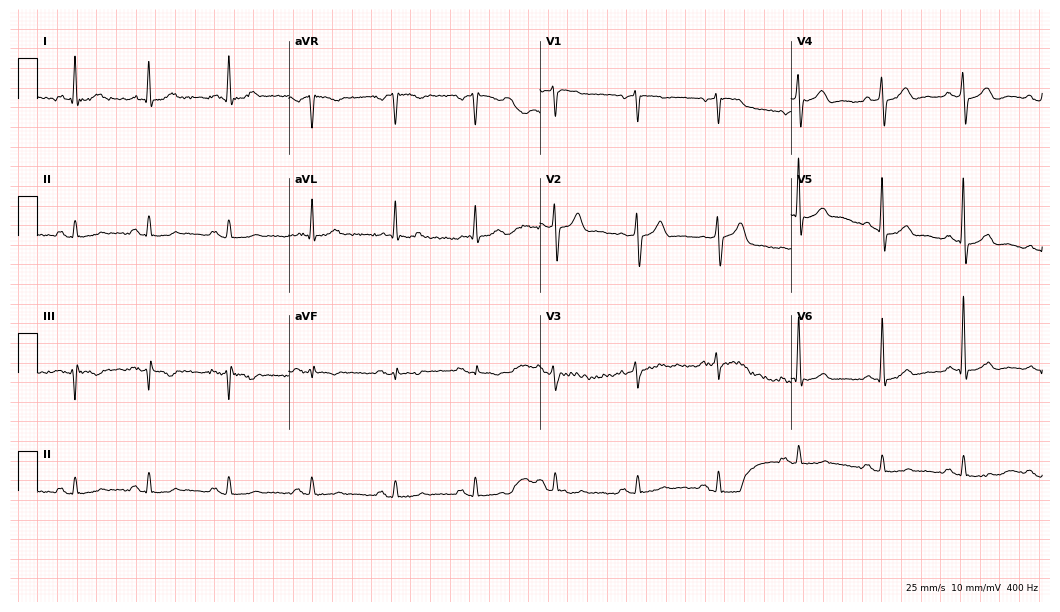
Electrocardiogram, a male patient, 67 years old. Overall reading on record: normal ECG.